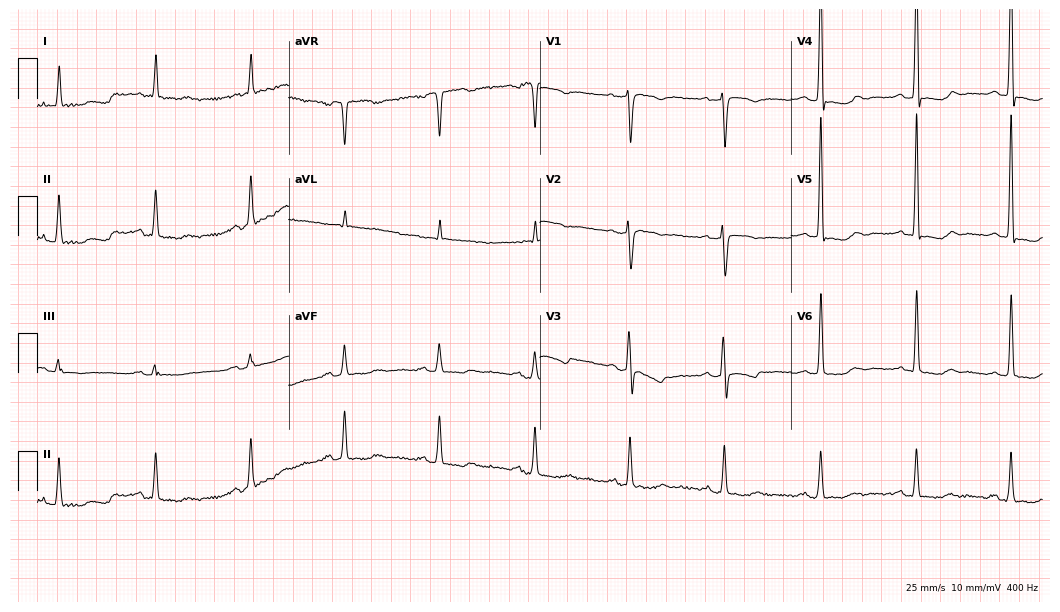
Resting 12-lead electrocardiogram (10.2-second recording at 400 Hz). Patient: a 76-year-old woman. None of these six findings is recorded: first-degree AV block, right bundle branch block, left bundle branch block, sinus bradycardia, atrial fibrillation, sinus tachycardia.